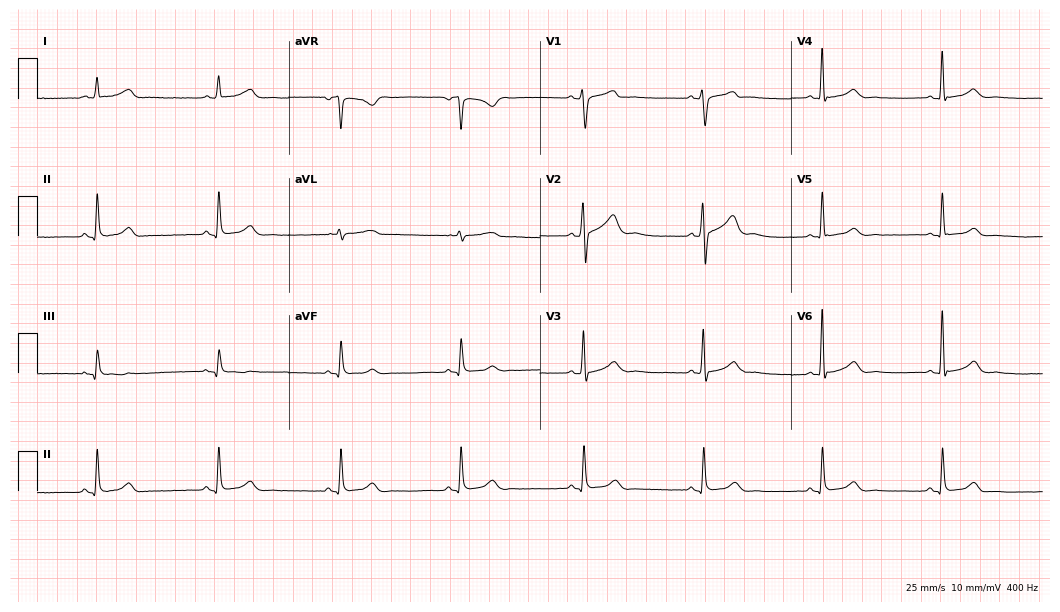
ECG (10.2-second recording at 400 Hz) — a 42-year-old man. Findings include sinus bradycardia (a sinus rate of 50 beats per minute or less).